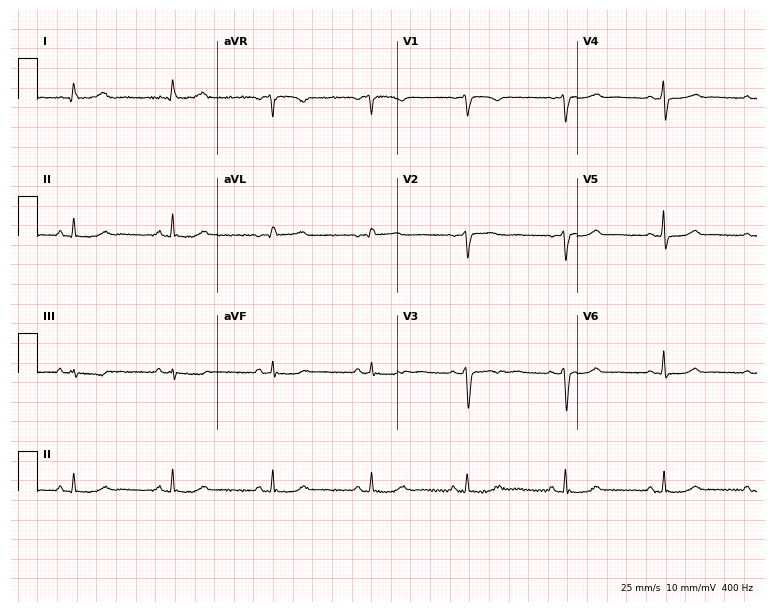
Electrocardiogram (7.3-second recording at 400 Hz), a female, 49 years old. Overall reading on record: normal ECG.